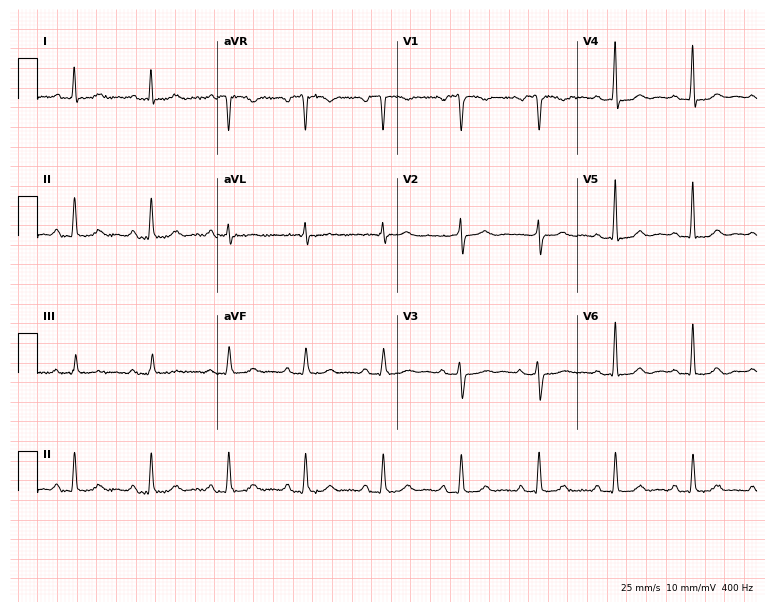
12-lead ECG (7.3-second recording at 400 Hz) from a man, 74 years old. Labelled as a normal ECG.